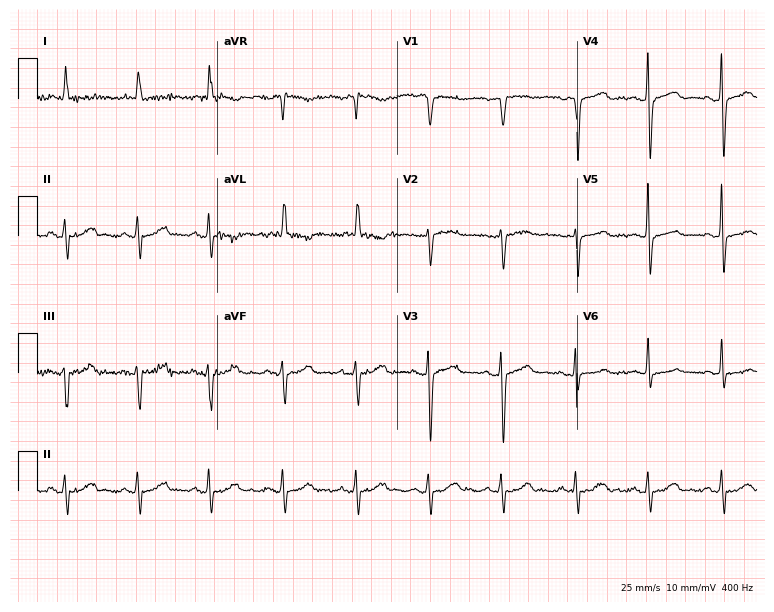
Electrocardiogram (7.3-second recording at 400 Hz), a female patient, 61 years old. Overall reading on record: normal ECG.